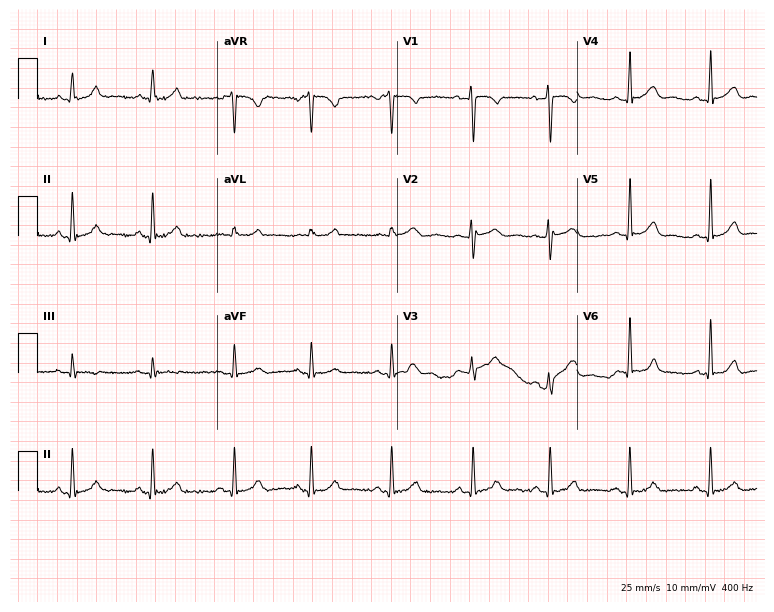
ECG (7.3-second recording at 400 Hz) — a 30-year-old female patient. Screened for six findings — first-degree AV block, right bundle branch block (RBBB), left bundle branch block (LBBB), sinus bradycardia, atrial fibrillation (AF), sinus tachycardia — none is recorded. Findings outside these six are not listed.